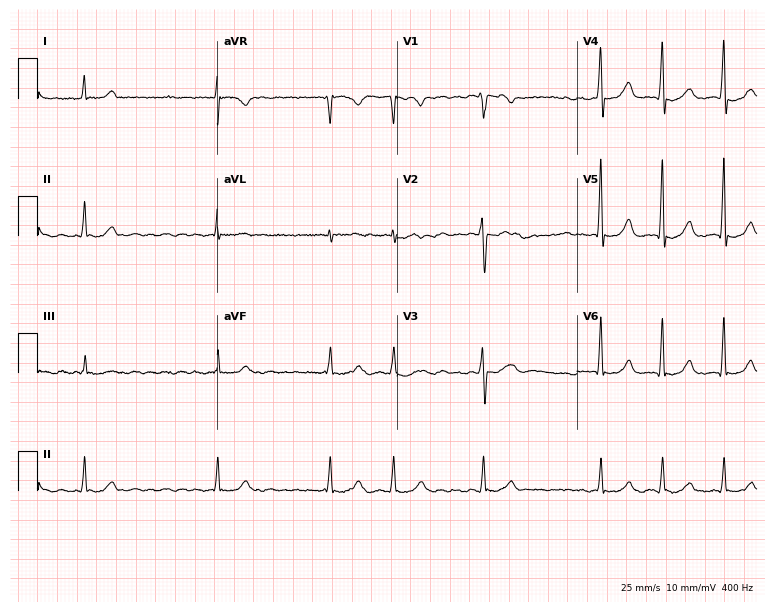
ECG (7.3-second recording at 400 Hz) — a man, 75 years old. Findings include atrial fibrillation.